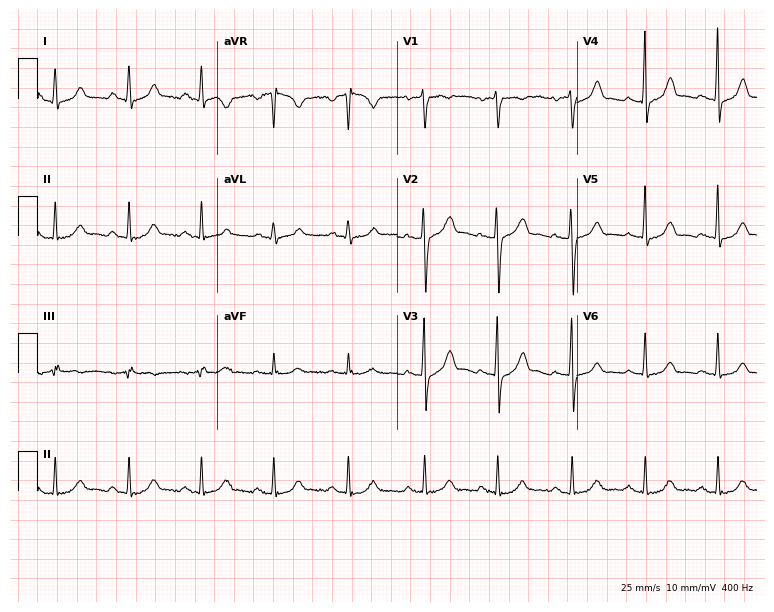
Resting 12-lead electrocardiogram. Patient: a female, 36 years old. None of these six findings is recorded: first-degree AV block, right bundle branch block, left bundle branch block, sinus bradycardia, atrial fibrillation, sinus tachycardia. Only these six findings were labelled.